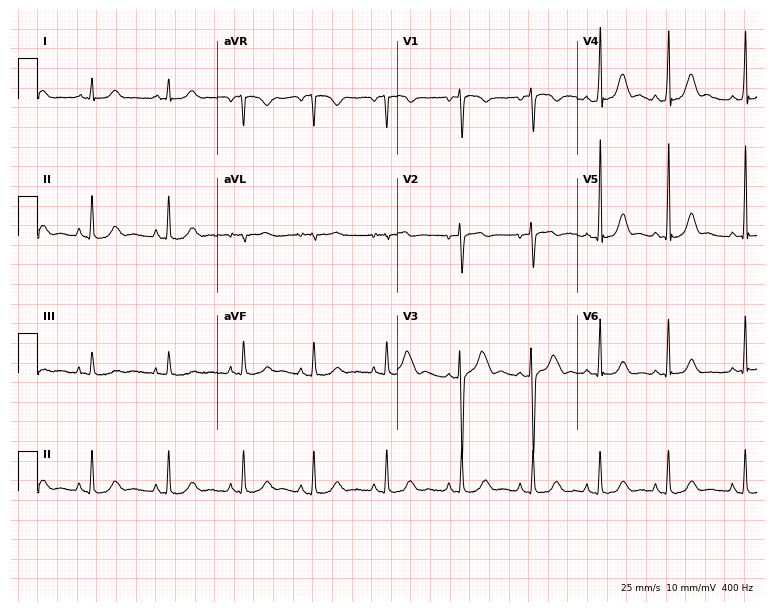
Standard 12-lead ECG recorded from a 33-year-old female patient. Read as a normal ECG.